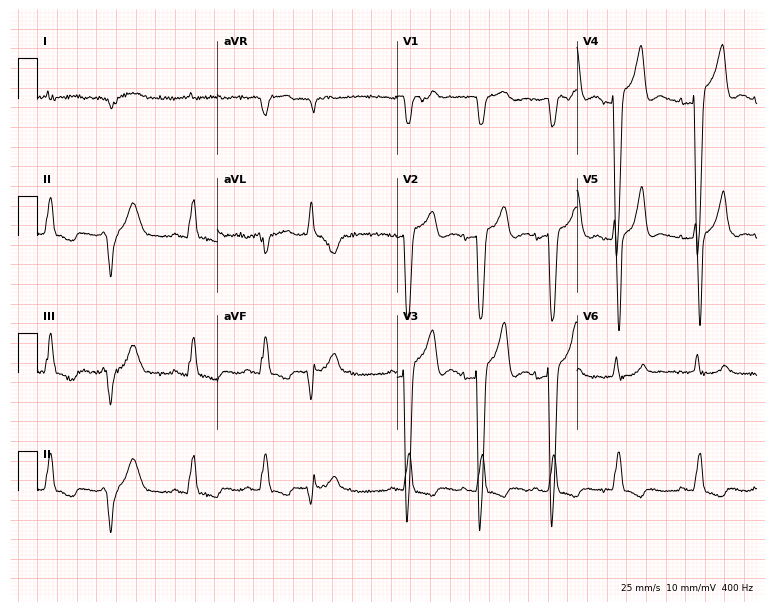
Standard 12-lead ECG recorded from an 85-year-old male patient (7.3-second recording at 400 Hz). The tracing shows left bundle branch block.